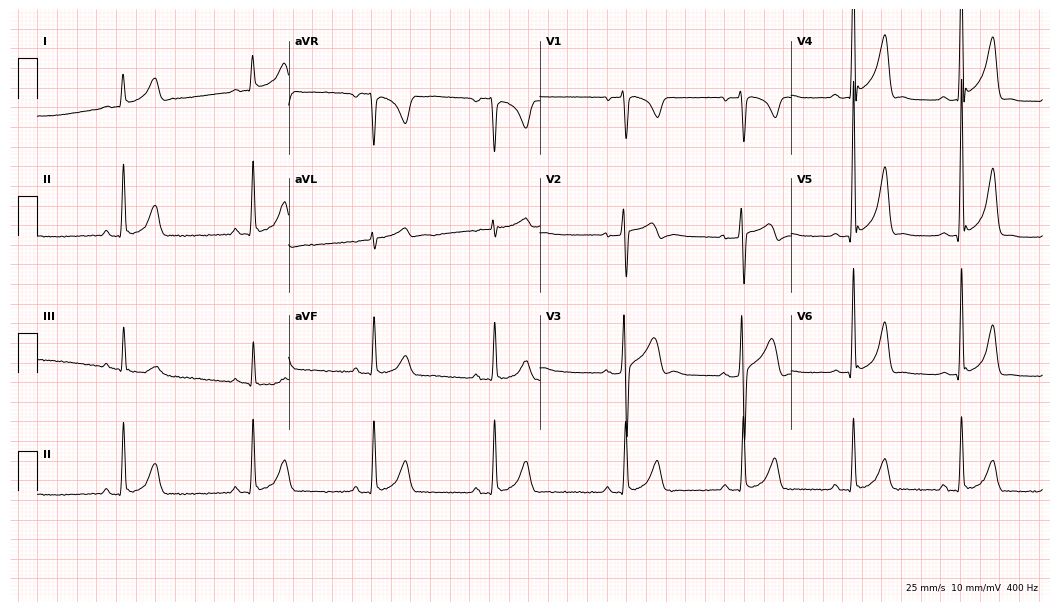
Electrocardiogram, a male, 19 years old. Interpretation includes sinus bradycardia (a sinus rate of 50 beats per minute or less).